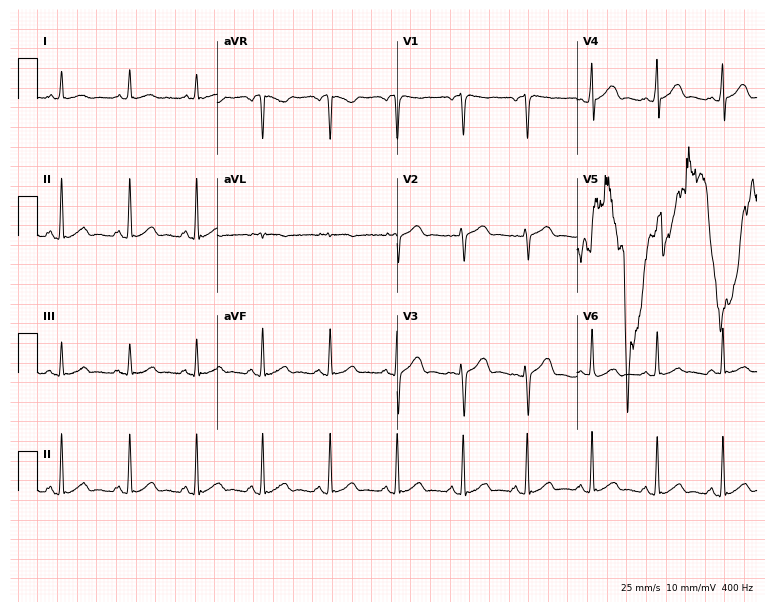
12-lead ECG from a female, 27 years old. Labelled as a normal ECG.